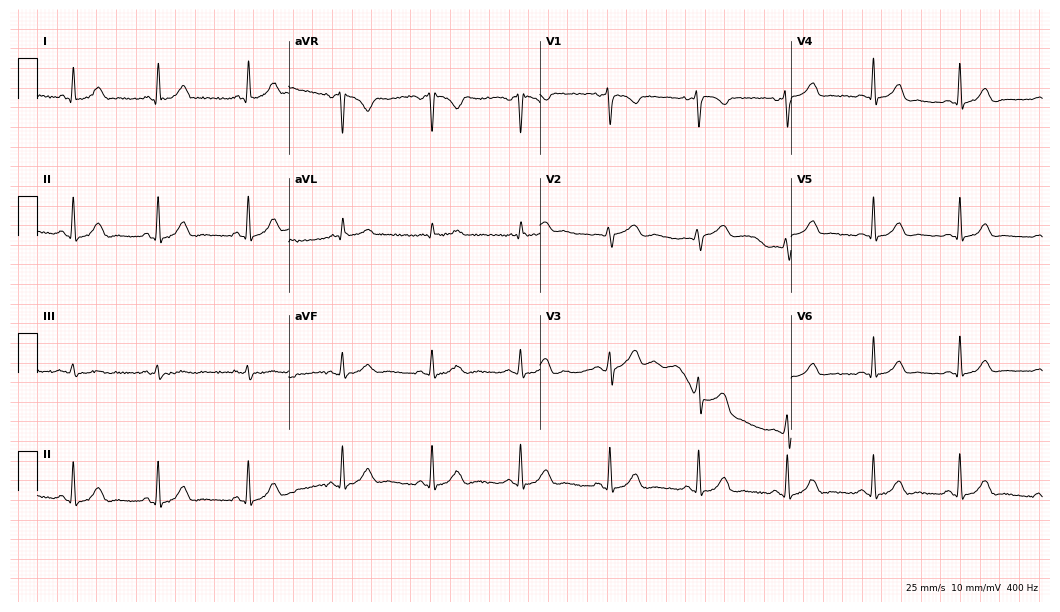
12-lead ECG from a female patient, 43 years old. Labelled as a normal ECG.